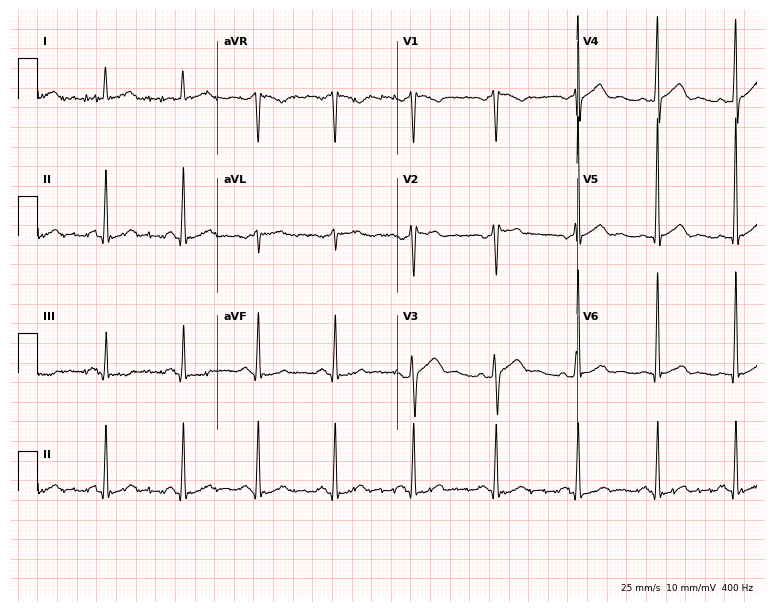
12-lead ECG from a 55-year-old man (7.3-second recording at 400 Hz). Recorded interpretation: within normal limits.